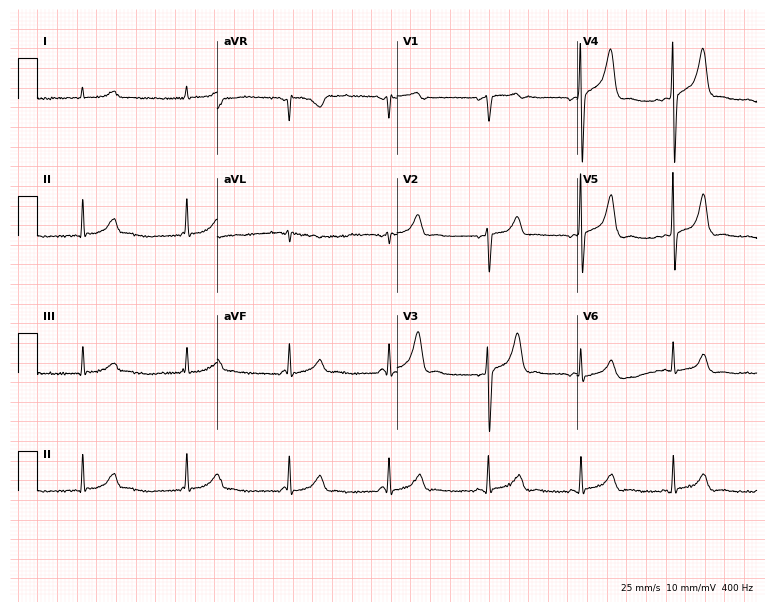
Standard 12-lead ECG recorded from a 68-year-old male (7.3-second recording at 400 Hz). Read as a normal ECG.